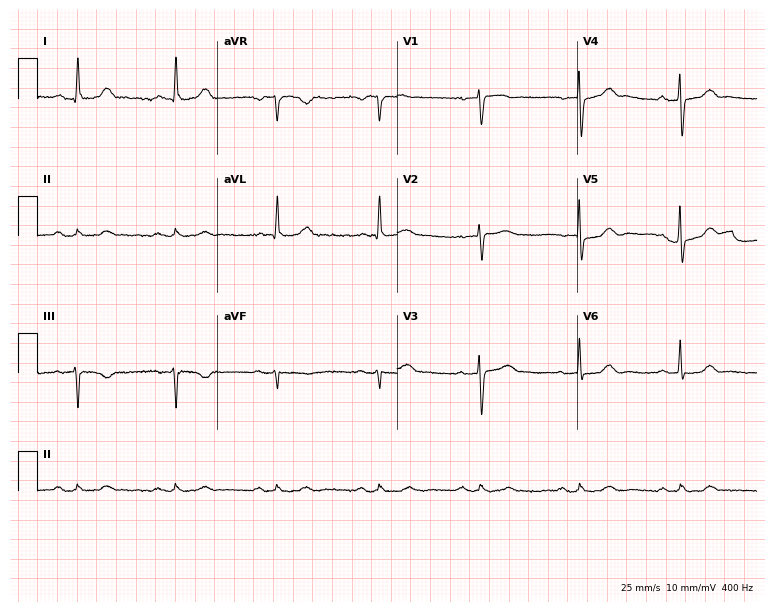
ECG (7.3-second recording at 400 Hz) — a 58-year-old man. Findings include first-degree AV block.